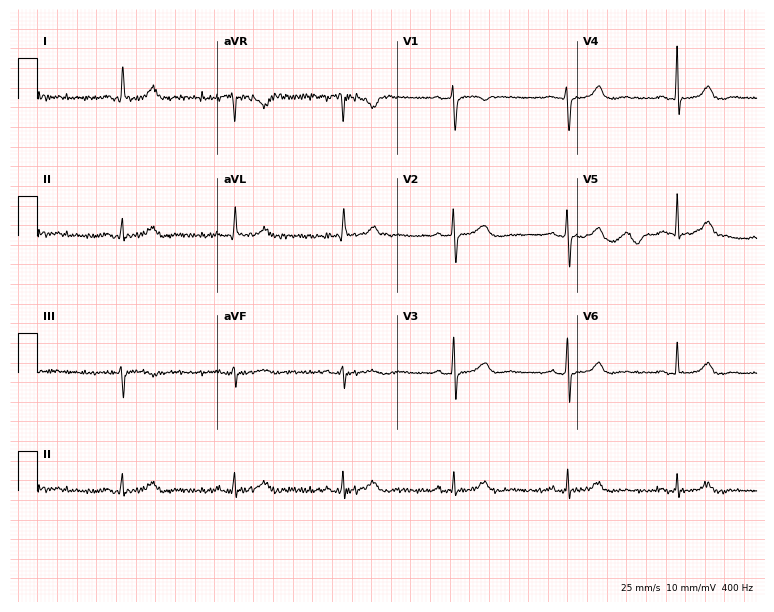
12-lead ECG from a 56-year-old female. Labelled as a normal ECG.